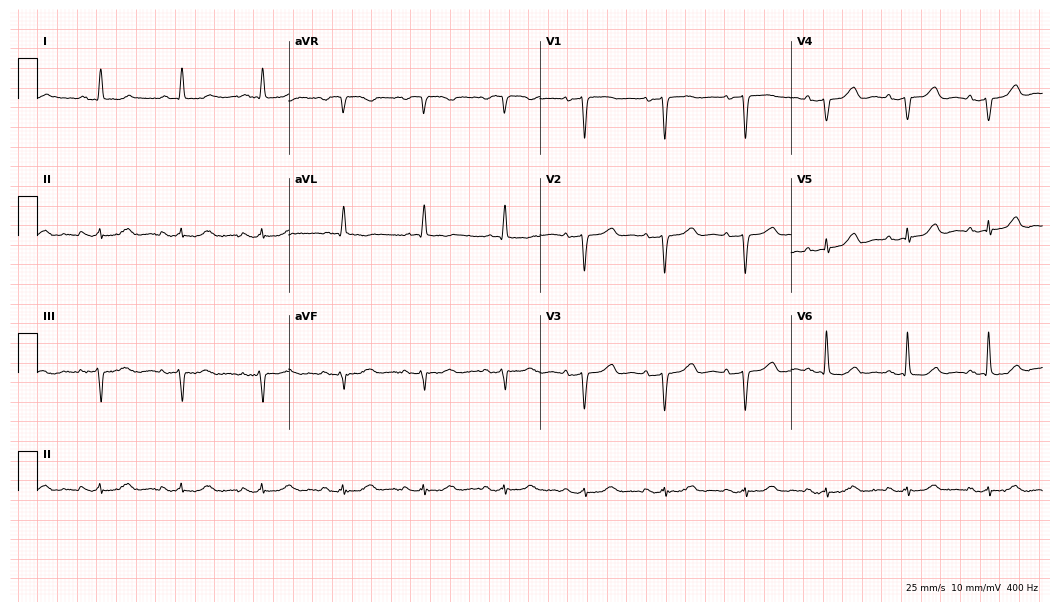
12-lead ECG (10.2-second recording at 400 Hz) from a female, 77 years old. Screened for six findings — first-degree AV block, right bundle branch block (RBBB), left bundle branch block (LBBB), sinus bradycardia, atrial fibrillation (AF), sinus tachycardia — none is recorded.